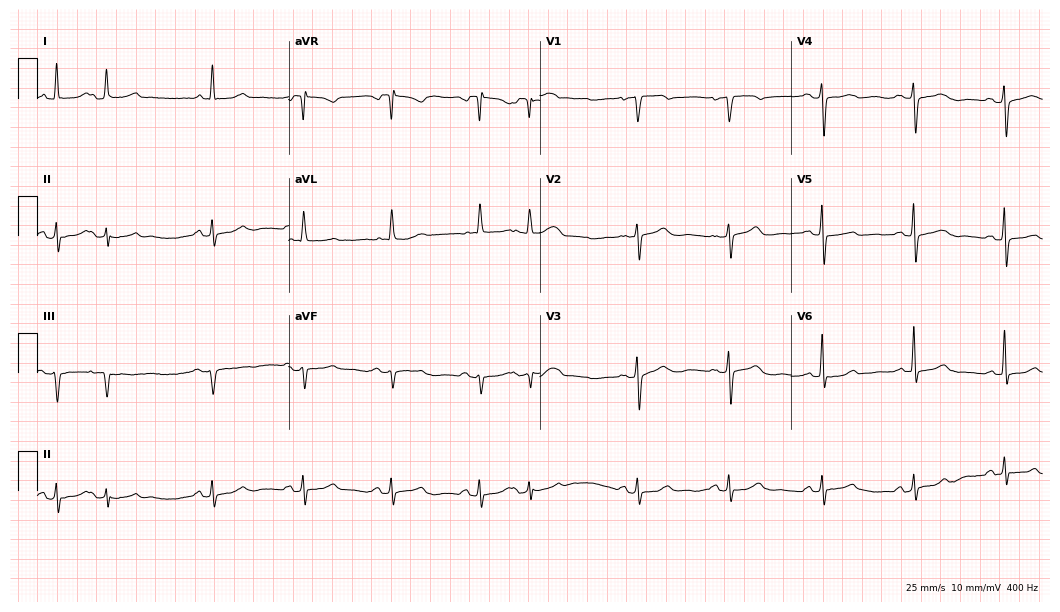
Electrocardiogram (10.2-second recording at 400 Hz), a female, 73 years old. Of the six screened findings (first-degree AV block, right bundle branch block, left bundle branch block, sinus bradycardia, atrial fibrillation, sinus tachycardia), none is recorded.